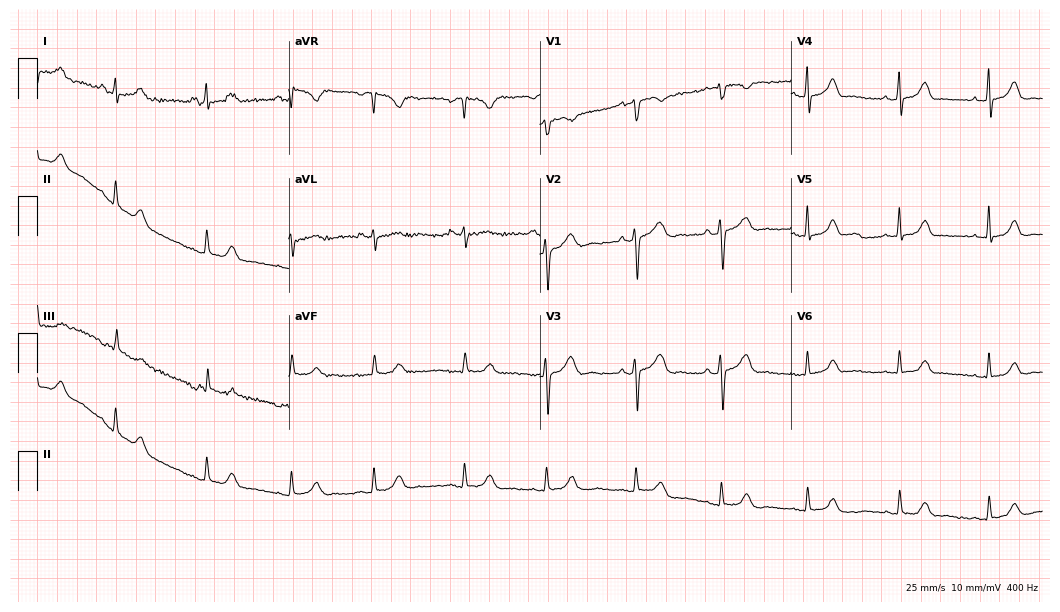
Resting 12-lead electrocardiogram (10.2-second recording at 400 Hz). Patient: a female, 20 years old. Read as a normal ECG.